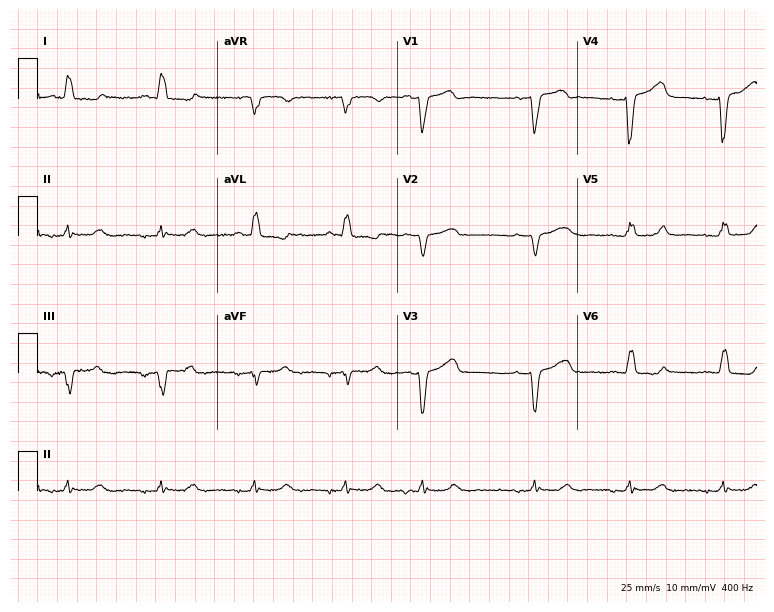
Resting 12-lead electrocardiogram (7.3-second recording at 400 Hz). Patient: a female, 77 years old. None of these six findings is recorded: first-degree AV block, right bundle branch block, left bundle branch block, sinus bradycardia, atrial fibrillation, sinus tachycardia.